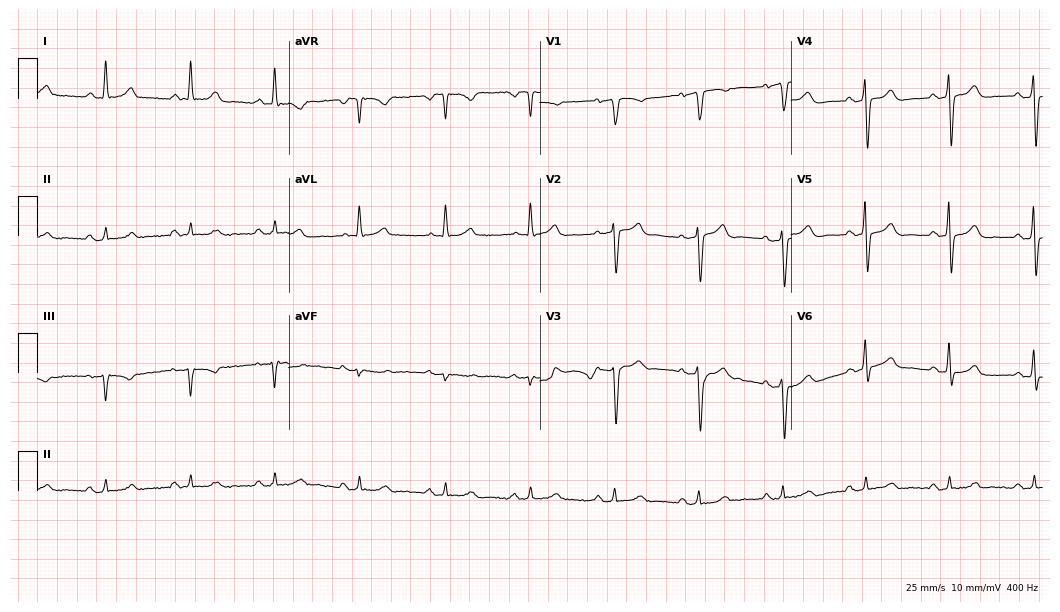
Resting 12-lead electrocardiogram (10.2-second recording at 400 Hz). Patient: a 50-year-old male. Read as a normal ECG.